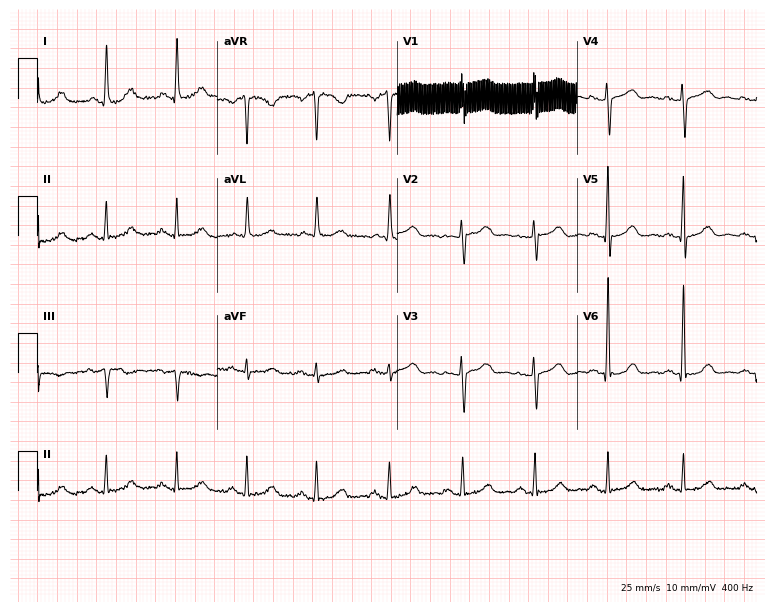
12-lead ECG from a woman, 56 years old. Screened for six findings — first-degree AV block, right bundle branch block (RBBB), left bundle branch block (LBBB), sinus bradycardia, atrial fibrillation (AF), sinus tachycardia — none is recorded. Other findings, if any, are not listed.